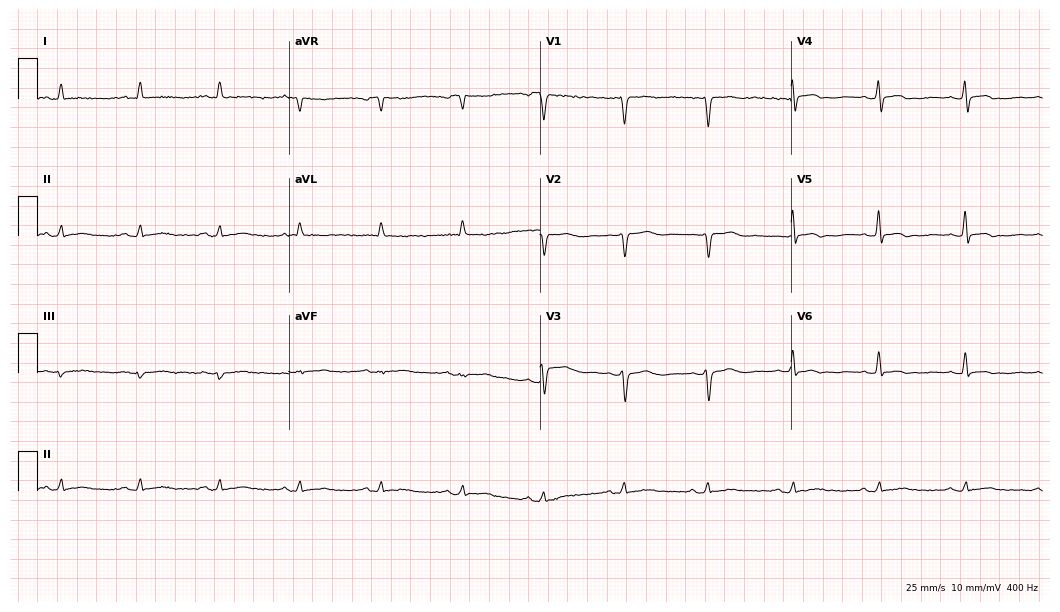
ECG — a 49-year-old female patient. Screened for six findings — first-degree AV block, right bundle branch block (RBBB), left bundle branch block (LBBB), sinus bradycardia, atrial fibrillation (AF), sinus tachycardia — none is recorded.